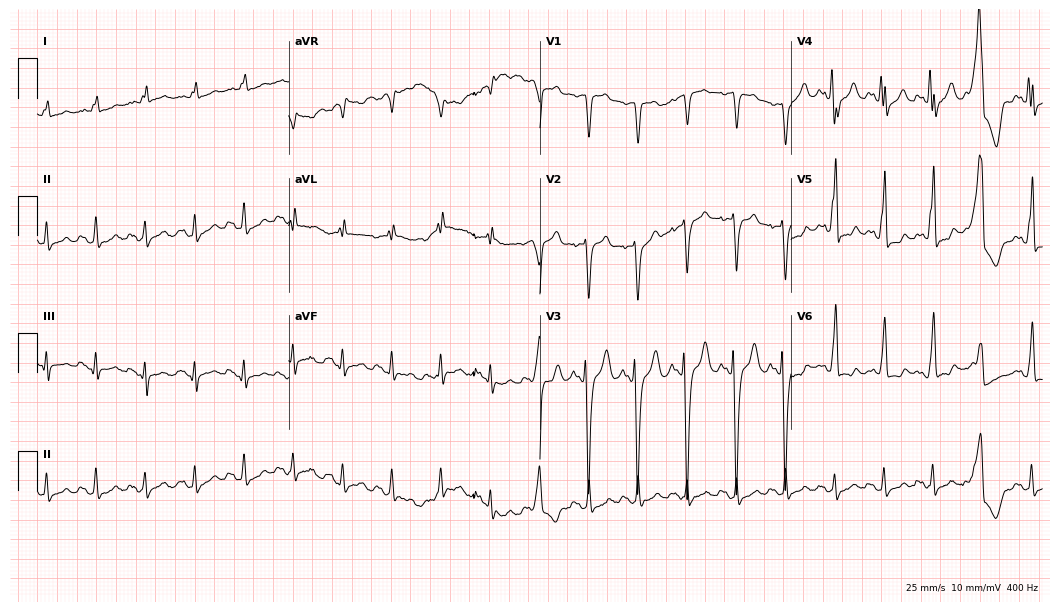
12-lead ECG from a 71-year-old male. Findings include sinus tachycardia (a sinus rate of 100 beats per minute or more).